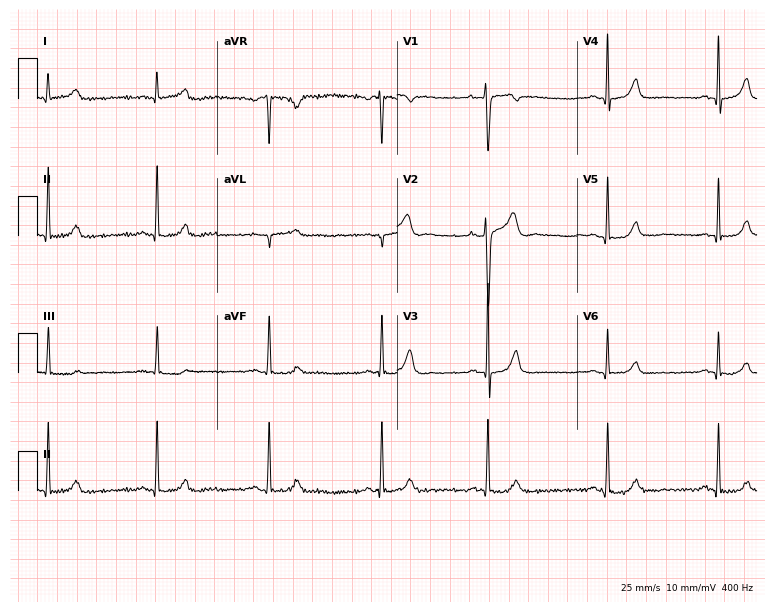
12-lead ECG (7.3-second recording at 400 Hz) from a woman, 21 years old. Labelled as a normal ECG.